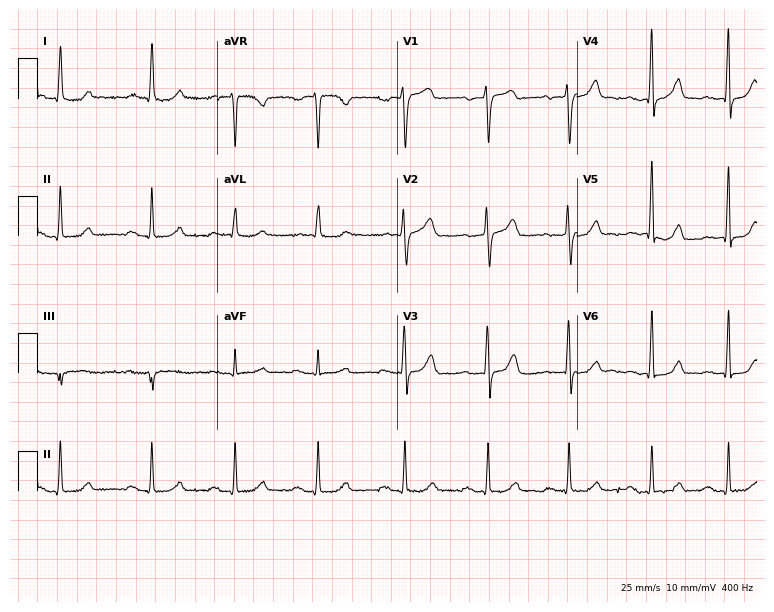
ECG (7.3-second recording at 400 Hz) — a female patient, 54 years old. Screened for six findings — first-degree AV block, right bundle branch block, left bundle branch block, sinus bradycardia, atrial fibrillation, sinus tachycardia — none is recorded.